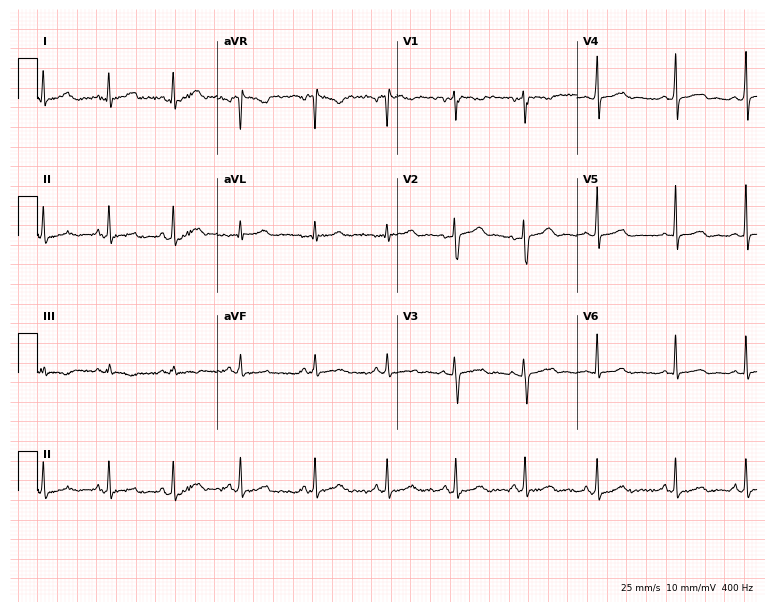
Resting 12-lead electrocardiogram (7.3-second recording at 400 Hz). Patient: a female, 27 years old. Read as a normal ECG.